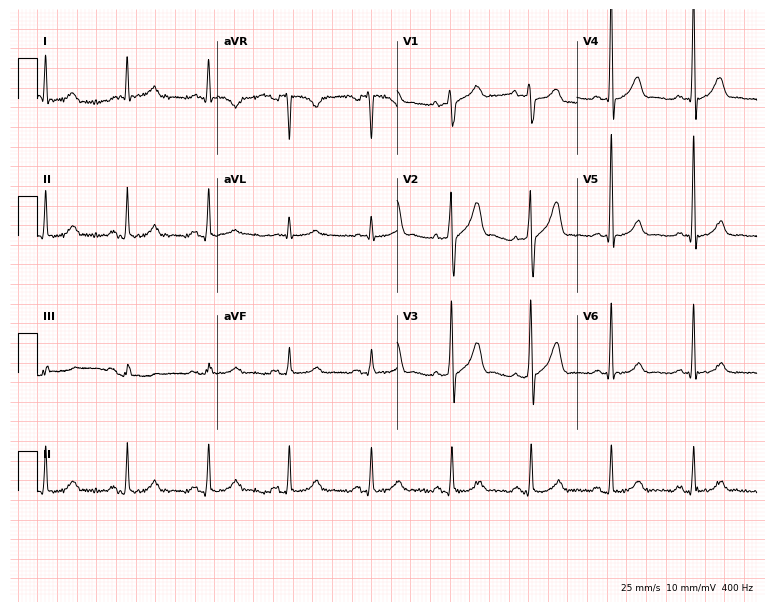
12-lead ECG from a 59-year-old man (7.3-second recording at 400 Hz). Recorded interpretation: within normal limits.